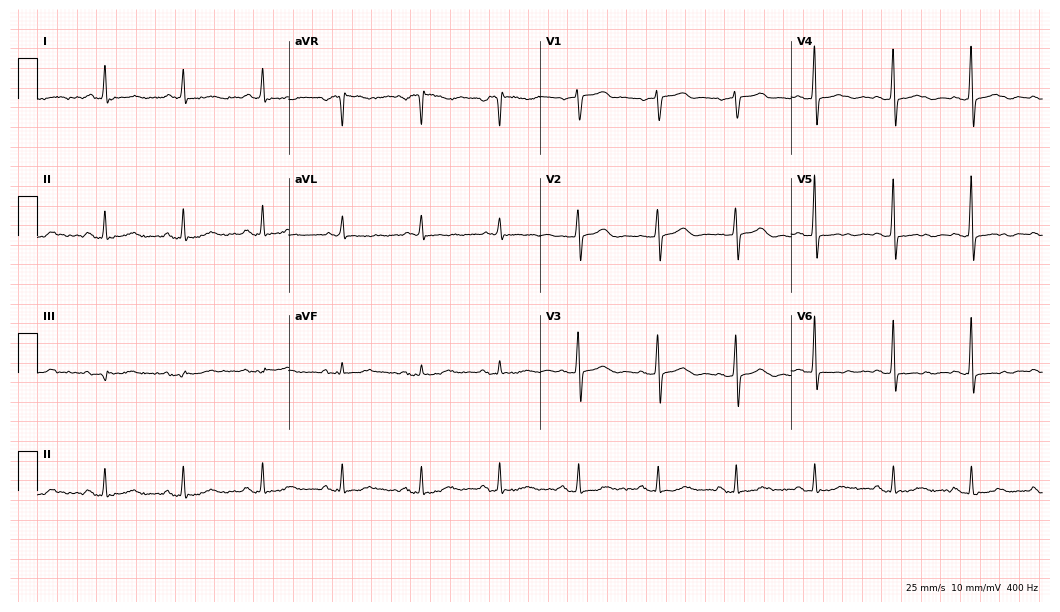
12-lead ECG from a 66-year-old woman. Screened for six findings — first-degree AV block, right bundle branch block, left bundle branch block, sinus bradycardia, atrial fibrillation, sinus tachycardia — none is recorded.